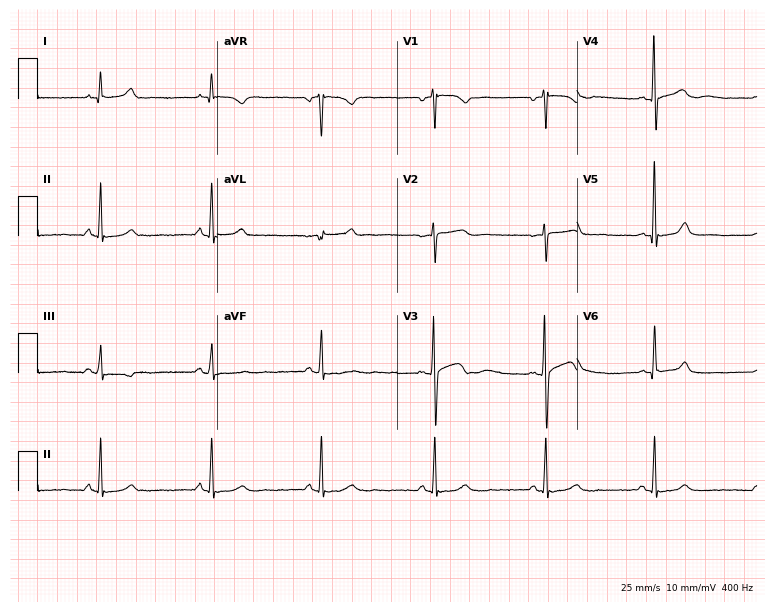
Resting 12-lead electrocardiogram. Patient: a 58-year-old female. Read as a normal ECG.